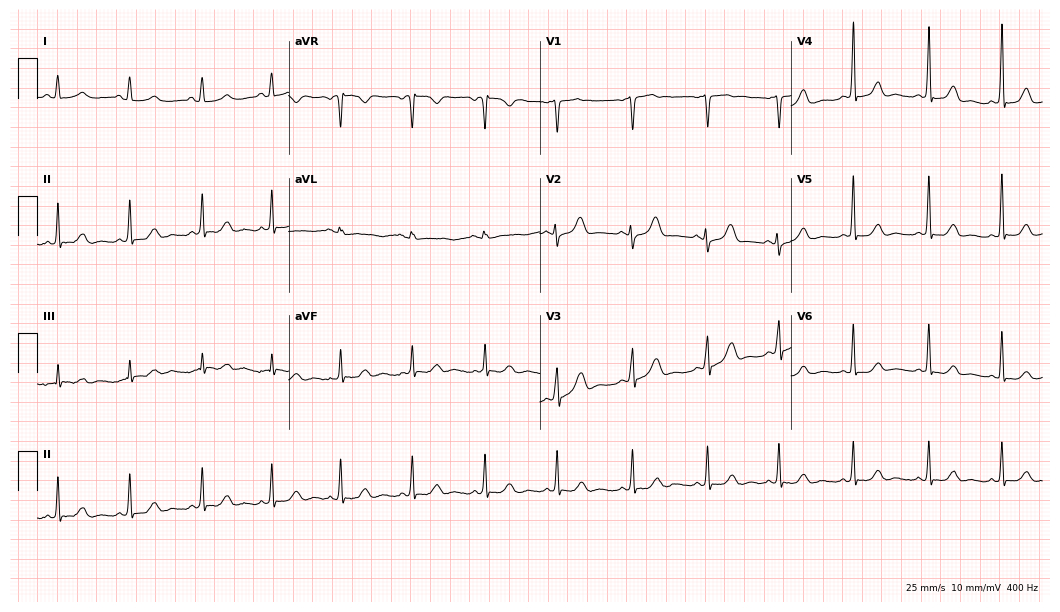
Standard 12-lead ECG recorded from a female patient, 17 years old (10.2-second recording at 400 Hz). Read as a normal ECG.